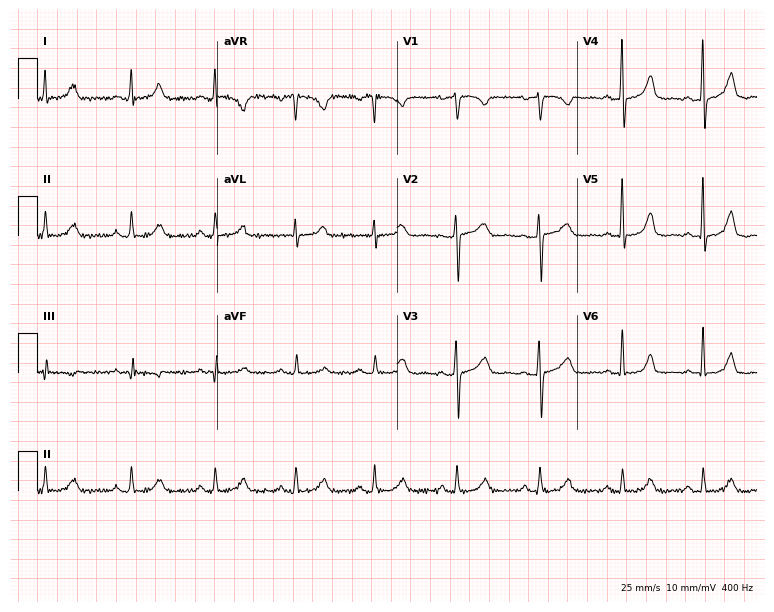
12-lead ECG from a female patient, 51 years old (7.3-second recording at 400 Hz). No first-degree AV block, right bundle branch block, left bundle branch block, sinus bradycardia, atrial fibrillation or sinus tachycardia recorded for this tracing.